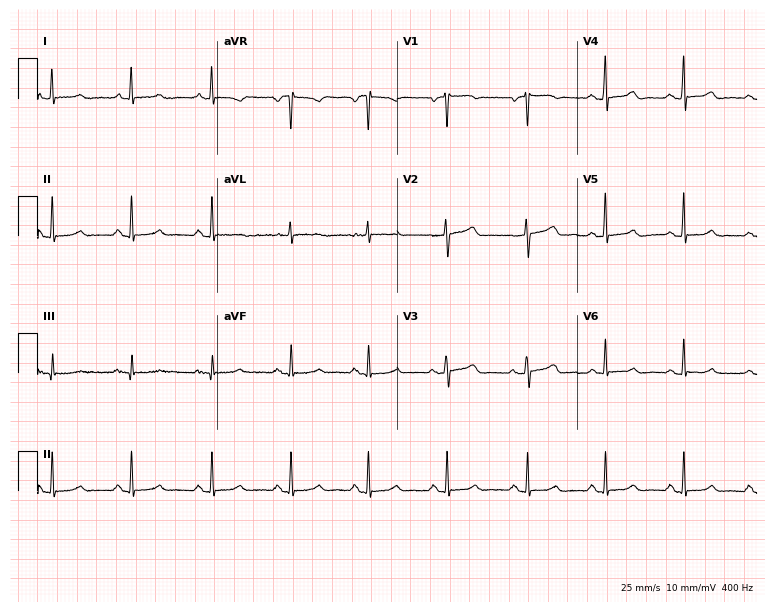
Electrocardiogram (7.3-second recording at 400 Hz), a woman, 68 years old. Overall reading on record: normal ECG.